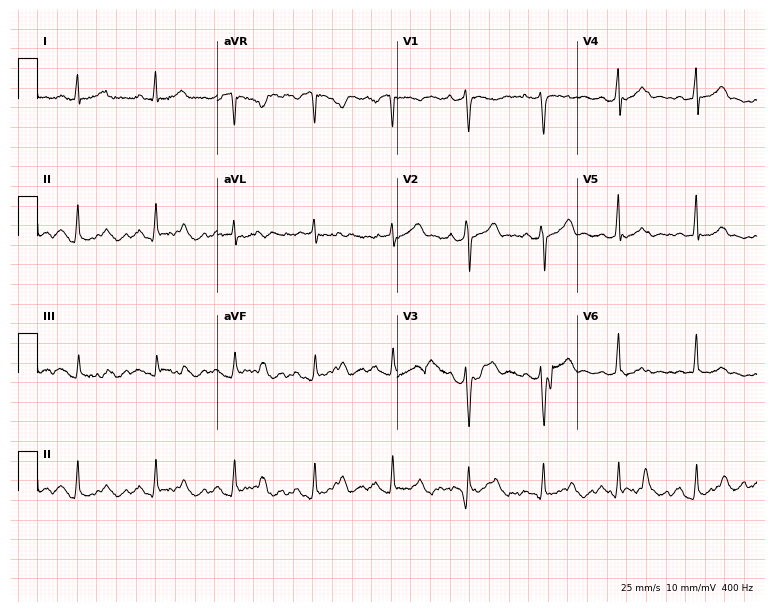
Standard 12-lead ECG recorded from a 37-year-old female. None of these six findings is recorded: first-degree AV block, right bundle branch block, left bundle branch block, sinus bradycardia, atrial fibrillation, sinus tachycardia.